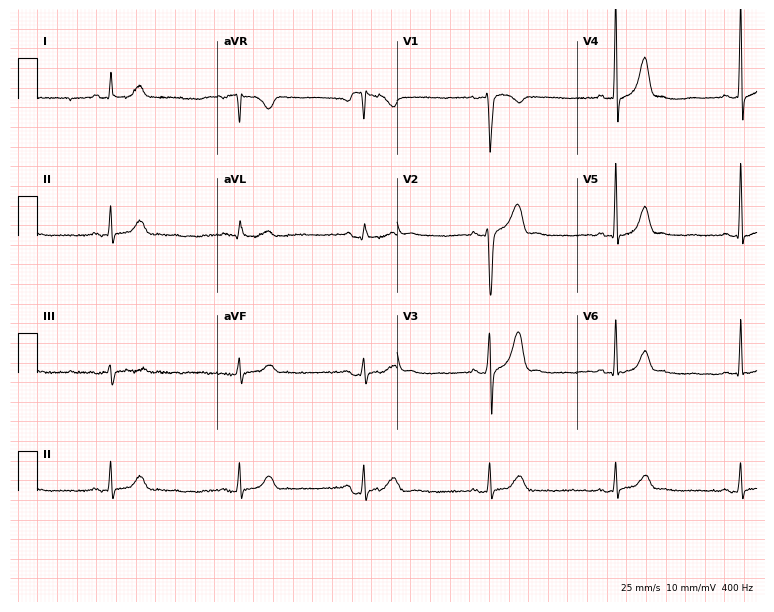
Standard 12-lead ECG recorded from a male, 35 years old (7.3-second recording at 400 Hz). The tracing shows sinus bradycardia (a sinus rate of 50 beats per minute or less).